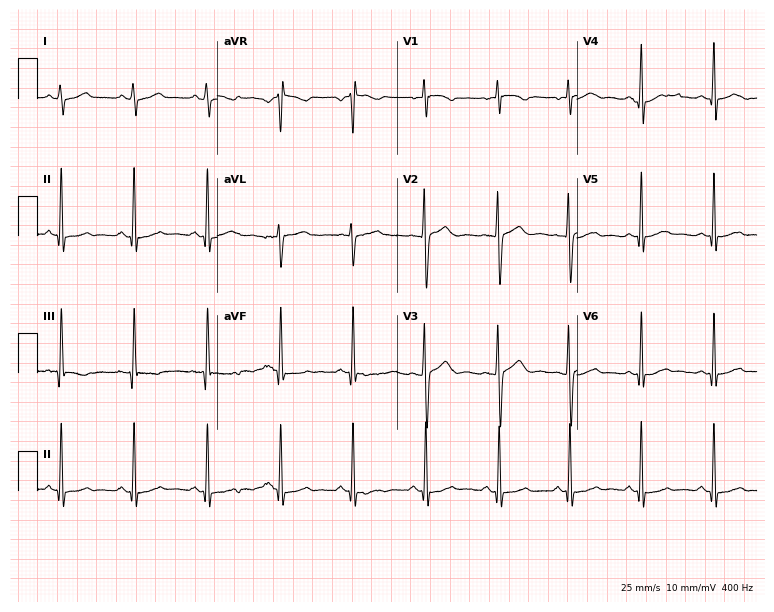
12-lead ECG from a woman, 27 years old. Screened for six findings — first-degree AV block, right bundle branch block, left bundle branch block, sinus bradycardia, atrial fibrillation, sinus tachycardia — none is recorded.